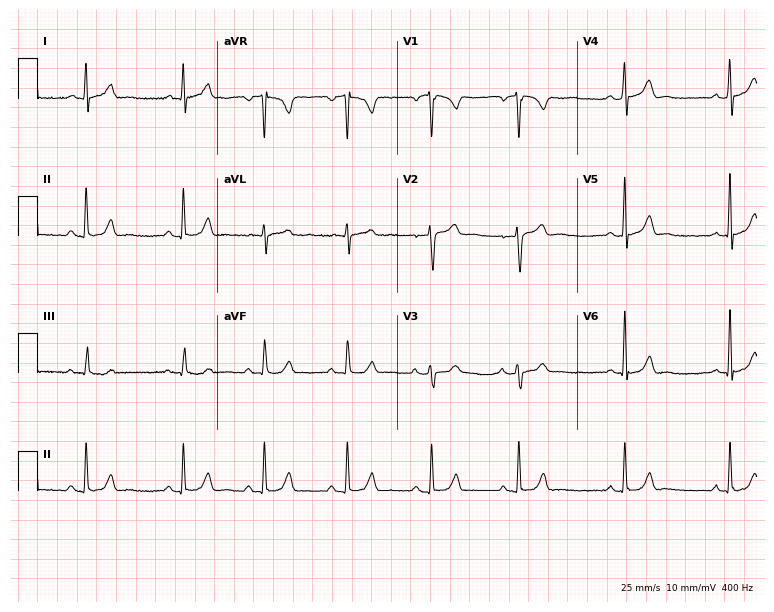
ECG (7.3-second recording at 400 Hz) — a 23-year-old man. Labelled as a normal ECG.